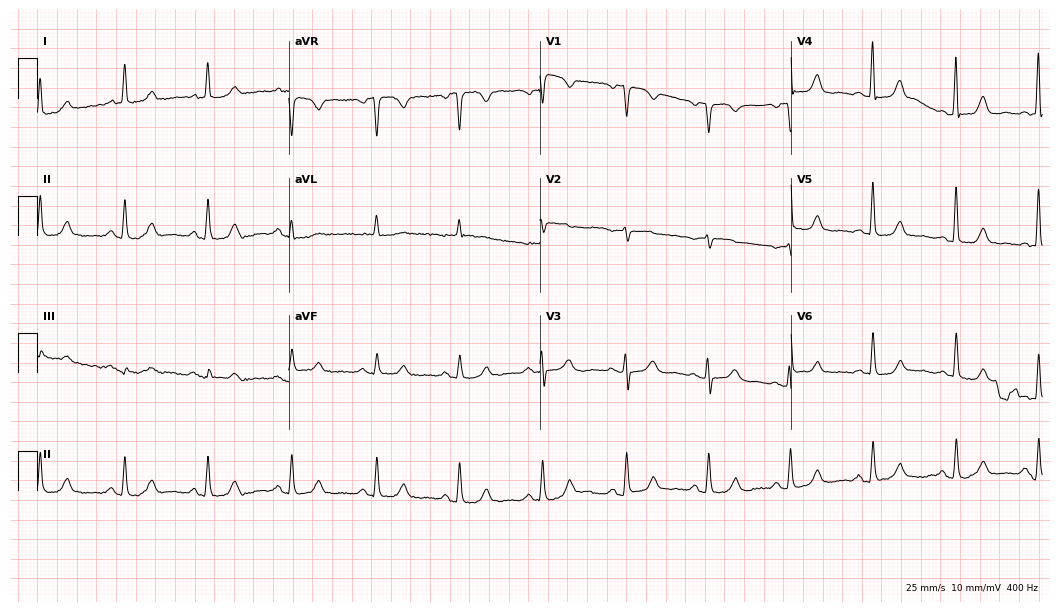
ECG — a 76-year-old woman. Screened for six findings — first-degree AV block, right bundle branch block, left bundle branch block, sinus bradycardia, atrial fibrillation, sinus tachycardia — none is recorded. Only these six findings were labelled.